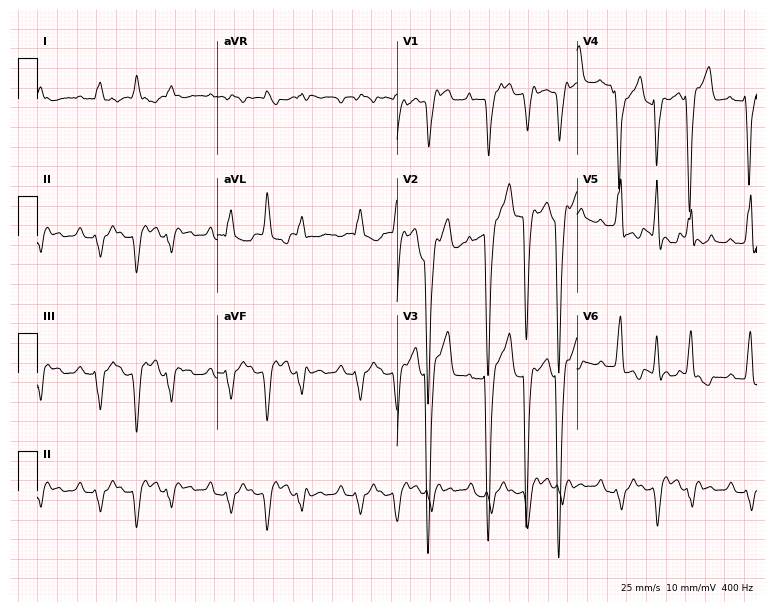
12-lead ECG from a man, 64 years old. Screened for six findings — first-degree AV block, right bundle branch block, left bundle branch block, sinus bradycardia, atrial fibrillation, sinus tachycardia — none is recorded.